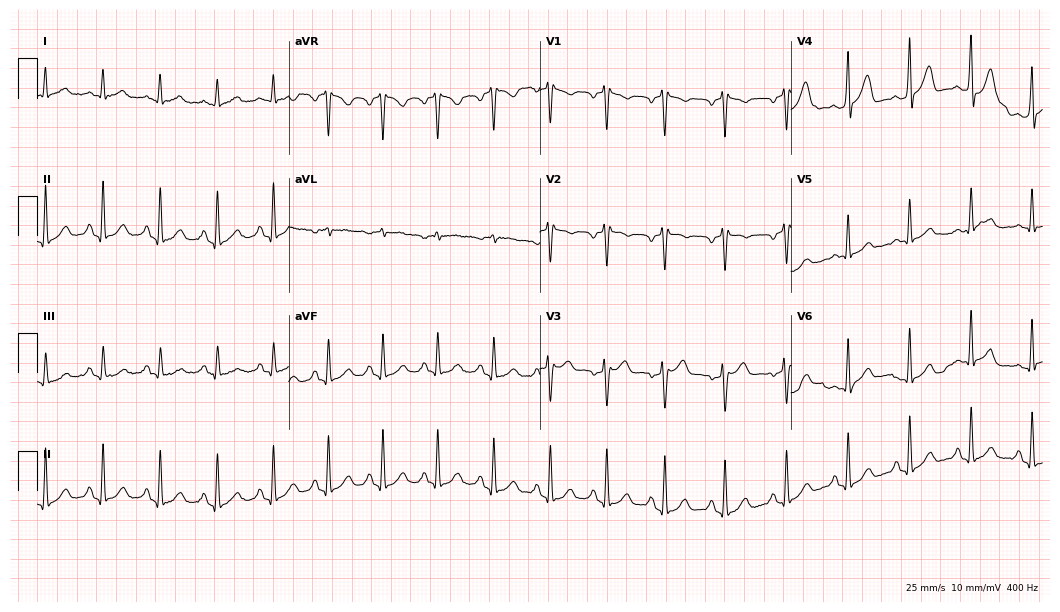
Electrocardiogram, a male, 67 years old. Interpretation includes sinus tachycardia (a sinus rate of 100 beats per minute or more).